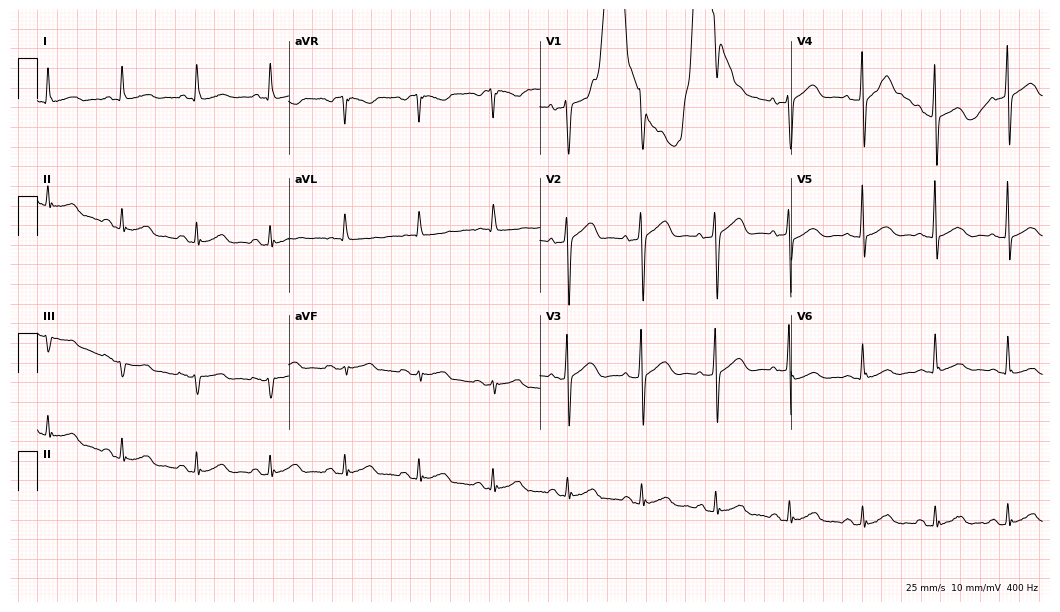
12-lead ECG from a 68-year-old woman. Screened for six findings — first-degree AV block, right bundle branch block, left bundle branch block, sinus bradycardia, atrial fibrillation, sinus tachycardia — none is recorded. Only these six findings were labelled.